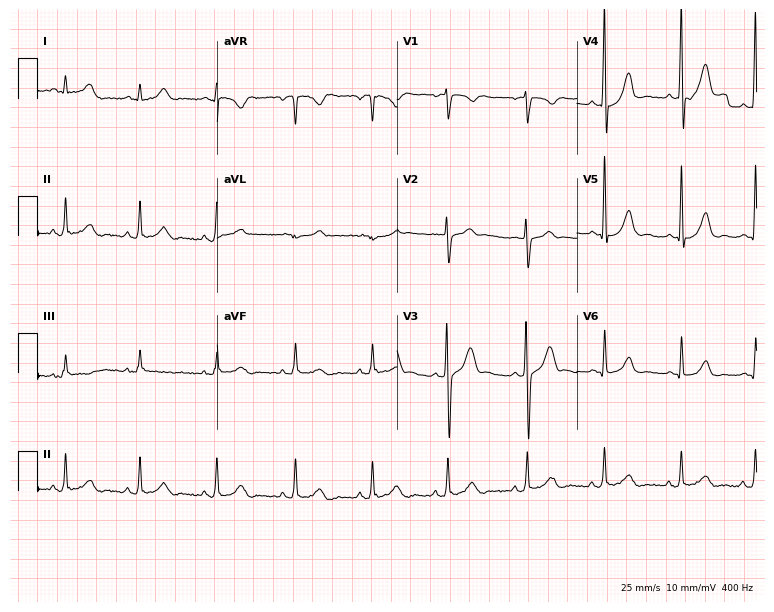
ECG — a 20-year-old male. Screened for six findings — first-degree AV block, right bundle branch block, left bundle branch block, sinus bradycardia, atrial fibrillation, sinus tachycardia — none is recorded.